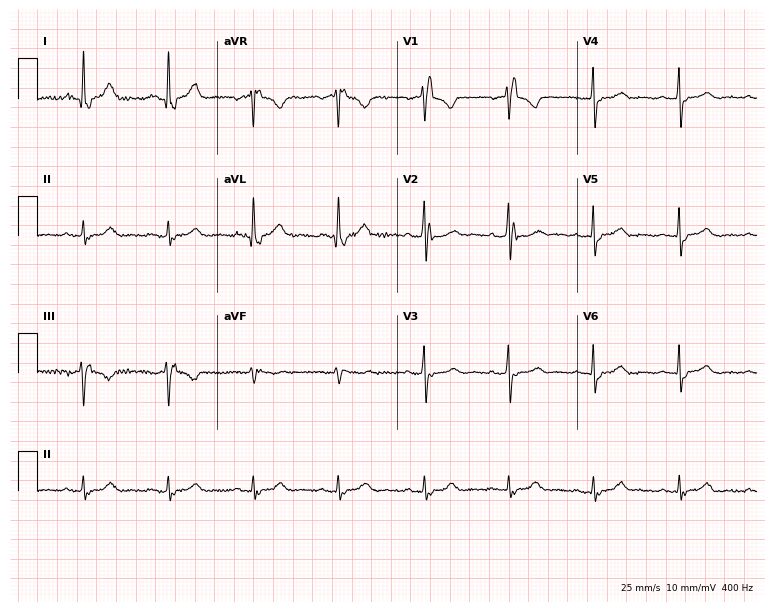
12-lead ECG (7.3-second recording at 400 Hz) from a female patient, 72 years old. Findings include right bundle branch block.